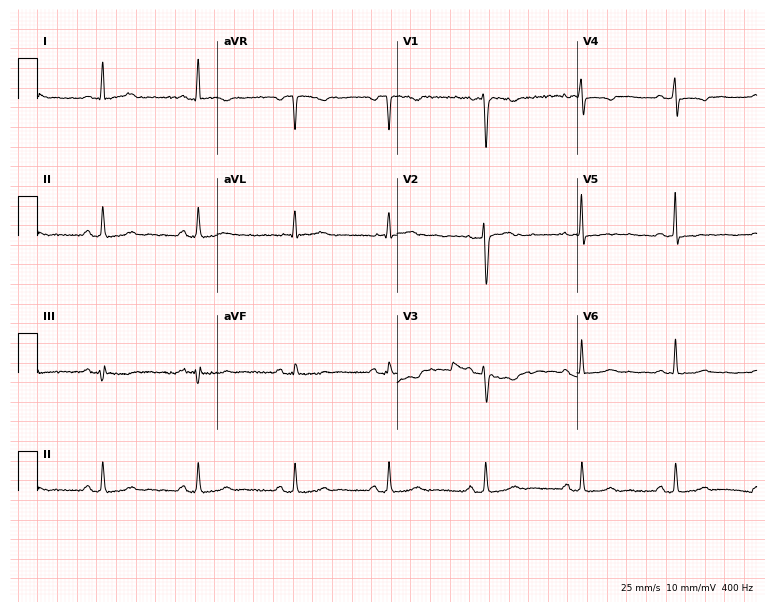
ECG (7.3-second recording at 400 Hz) — a 54-year-old female patient. Screened for six findings — first-degree AV block, right bundle branch block, left bundle branch block, sinus bradycardia, atrial fibrillation, sinus tachycardia — none is recorded.